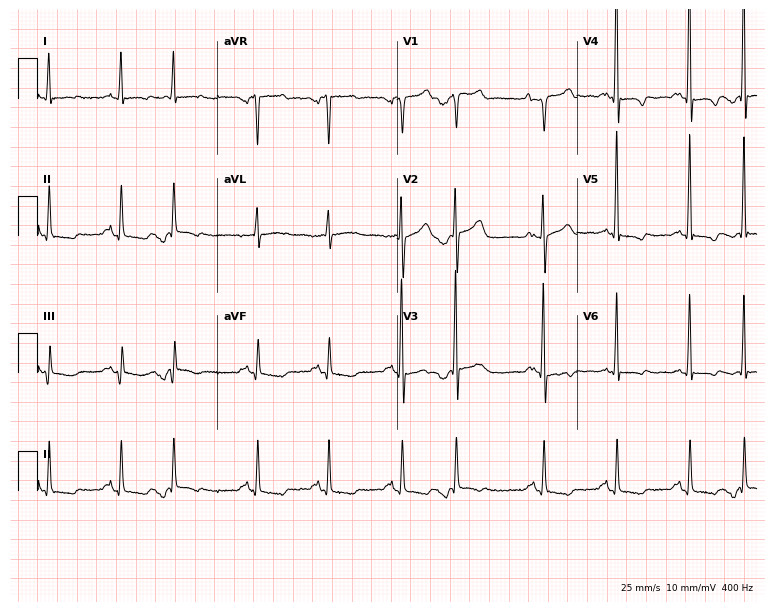
Electrocardiogram, a male, 65 years old. Of the six screened findings (first-degree AV block, right bundle branch block, left bundle branch block, sinus bradycardia, atrial fibrillation, sinus tachycardia), none is recorded. Findings outside these six are not listed.